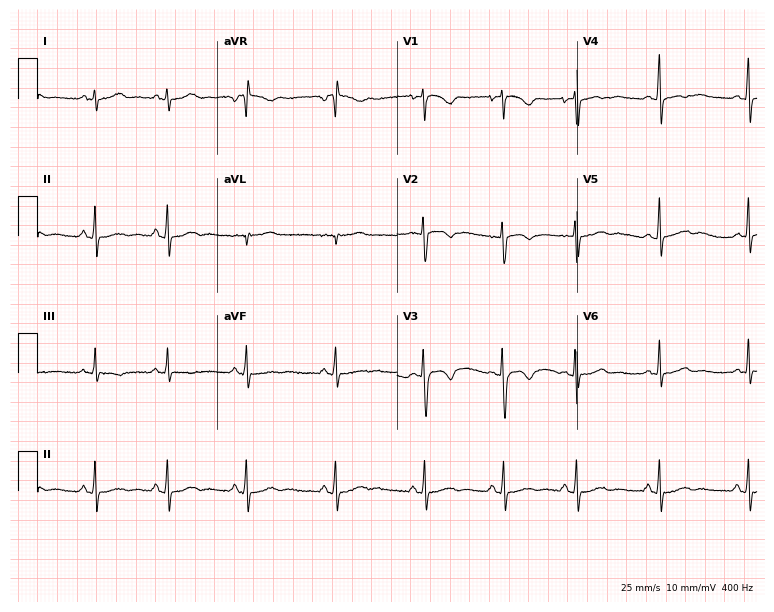
12-lead ECG from a 17-year-old female patient (7.3-second recording at 400 Hz). No first-degree AV block, right bundle branch block, left bundle branch block, sinus bradycardia, atrial fibrillation or sinus tachycardia recorded for this tracing. Findings outside these six are not listed.